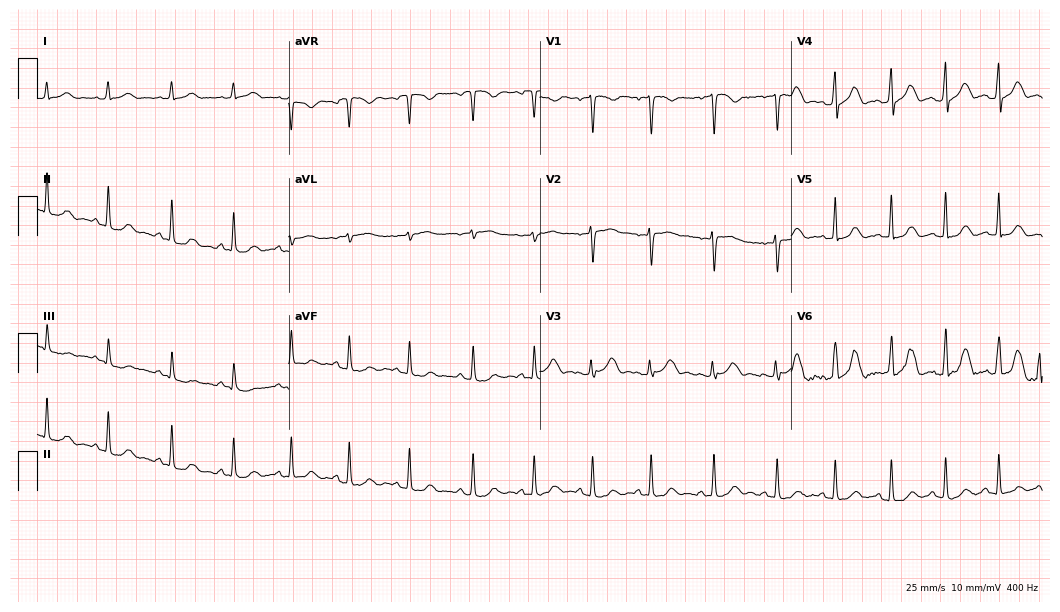
Electrocardiogram, a female patient, 22 years old. Overall reading on record: normal ECG.